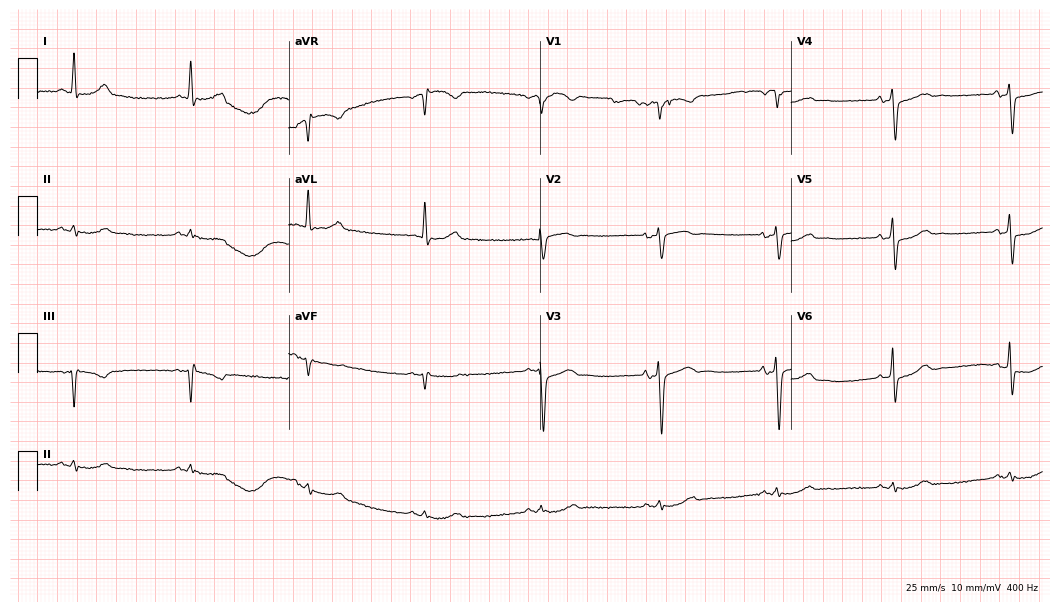
Standard 12-lead ECG recorded from an 81-year-old woman. None of these six findings is recorded: first-degree AV block, right bundle branch block, left bundle branch block, sinus bradycardia, atrial fibrillation, sinus tachycardia. Other findings, if any, are not listed.